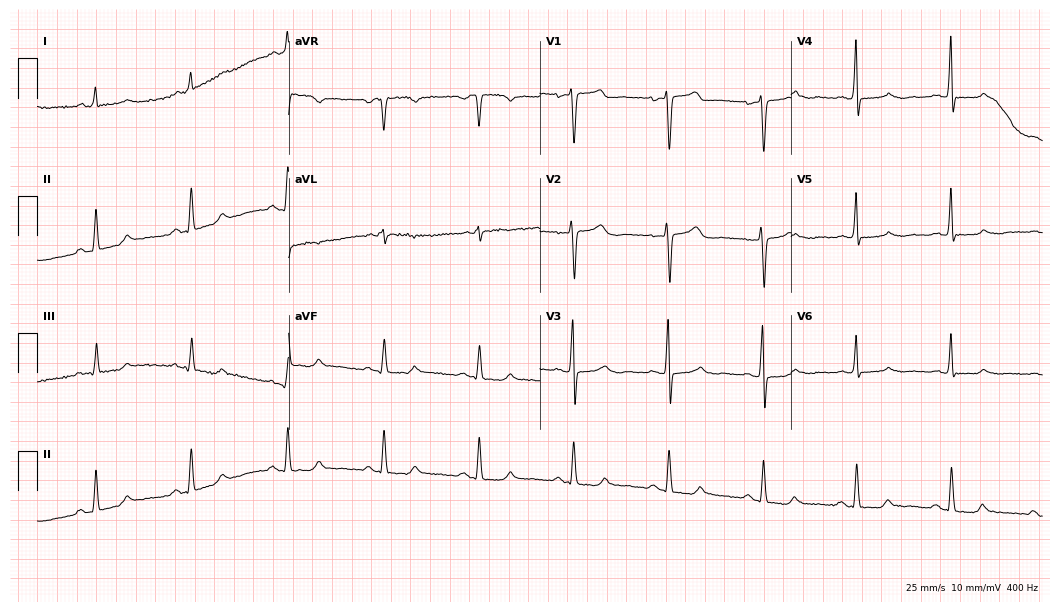
12-lead ECG from a 58-year-old female. Recorded interpretation: within normal limits.